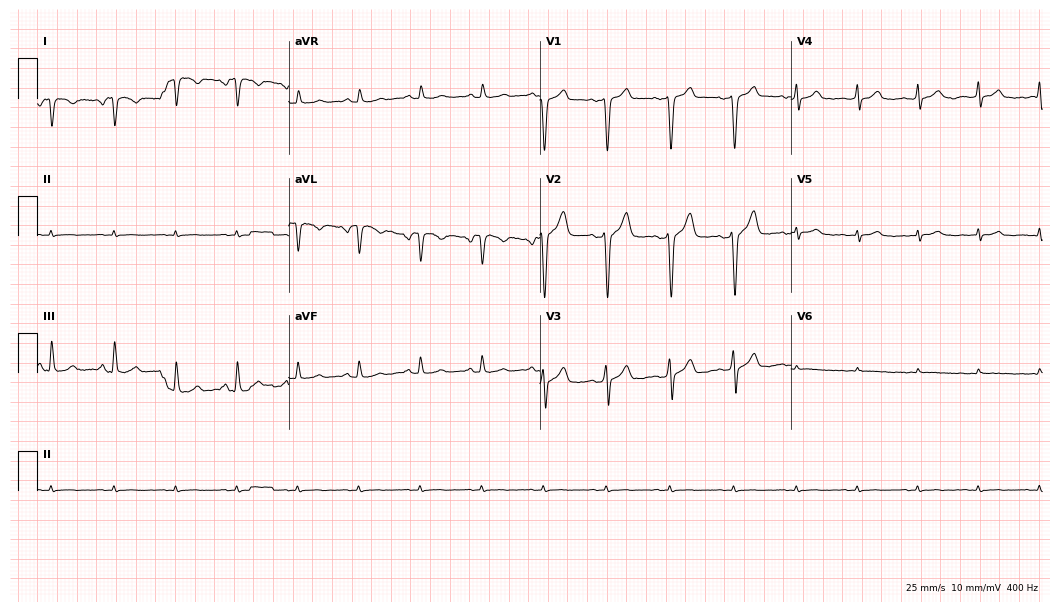
12-lead ECG from a male patient, 45 years old (10.2-second recording at 400 Hz). No first-degree AV block, right bundle branch block, left bundle branch block, sinus bradycardia, atrial fibrillation or sinus tachycardia recorded for this tracing. Only these six findings were labelled.